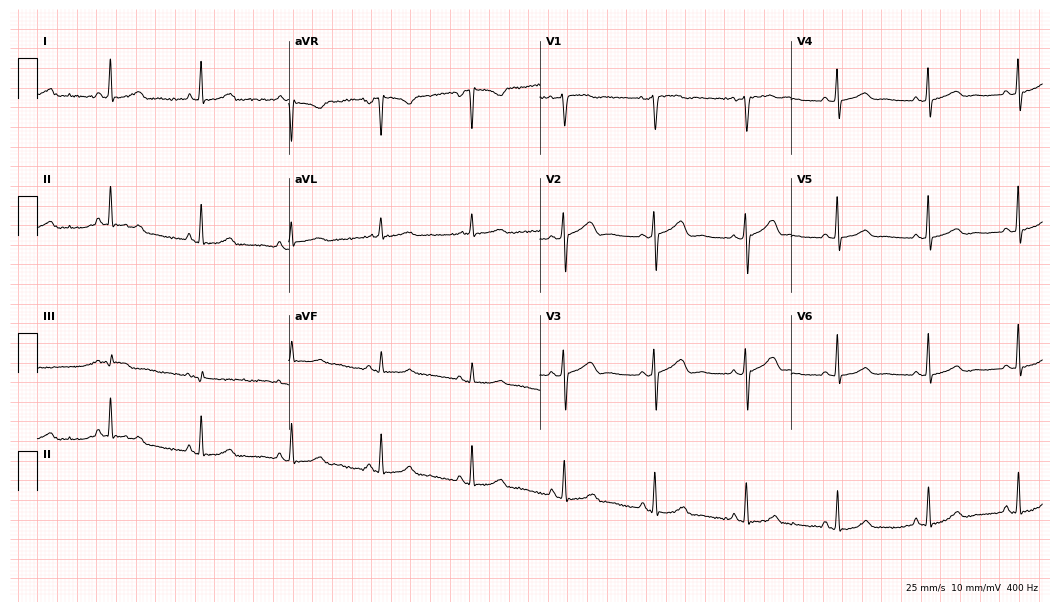
12-lead ECG from a woman, 58 years old. No first-degree AV block, right bundle branch block, left bundle branch block, sinus bradycardia, atrial fibrillation or sinus tachycardia recorded for this tracing.